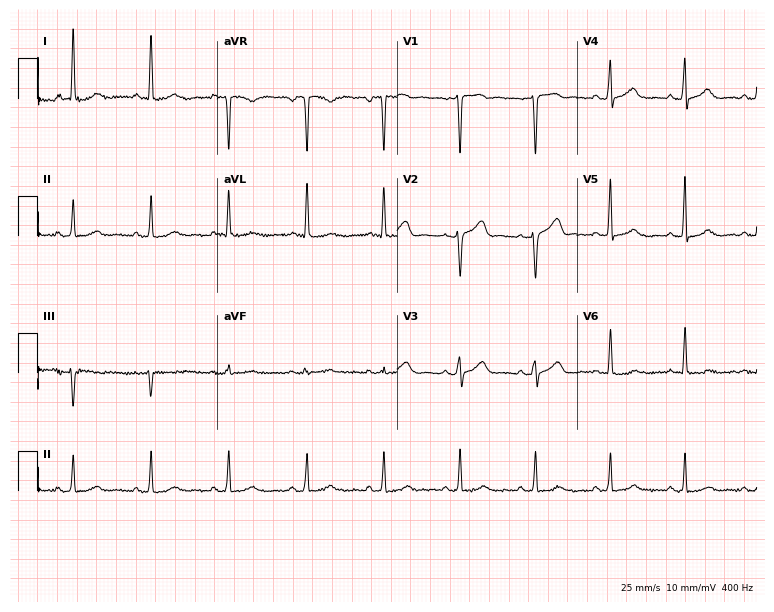
Electrocardiogram, a 52-year-old female. Of the six screened findings (first-degree AV block, right bundle branch block (RBBB), left bundle branch block (LBBB), sinus bradycardia, atrial fibrillation (AF), sinus tachycardia), none is recorded.